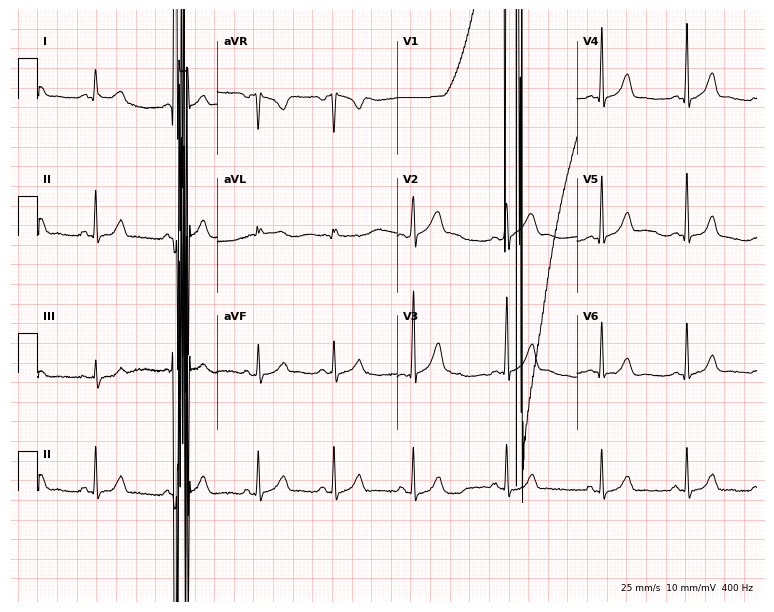
12-lead ECG from a 30-year-old female patient. No first-degree AV block, right bundle branch block, left bundle branch block, sinus bradycardia, atrial fibrillation or sinus tachycardia recorded for this tracing. Only these six findings were labelled.